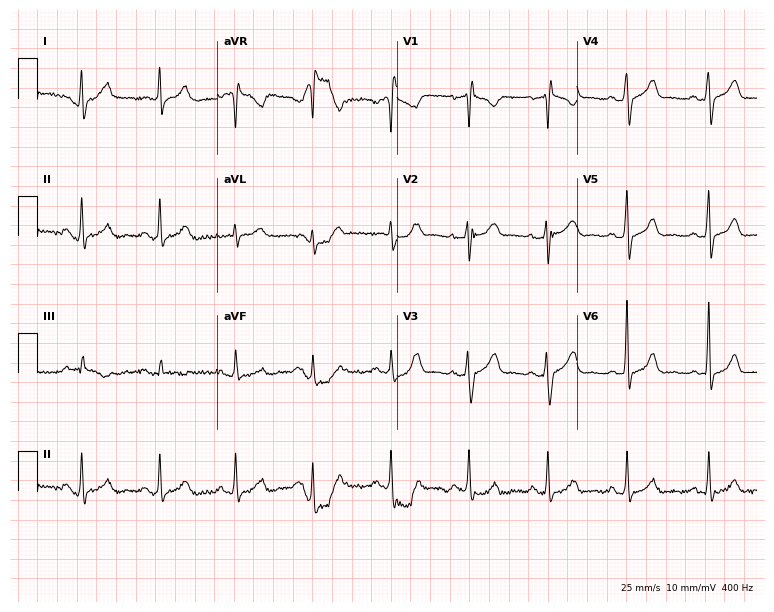
12-lead ECG from a 49-year-old male. No first-degree AV block, right bundle branch block (RBBB), left bundle branch block (LBBB), sinus bradycardia, atrial fibrillation (AF) or sinus tachycardia recorded for this tracing.